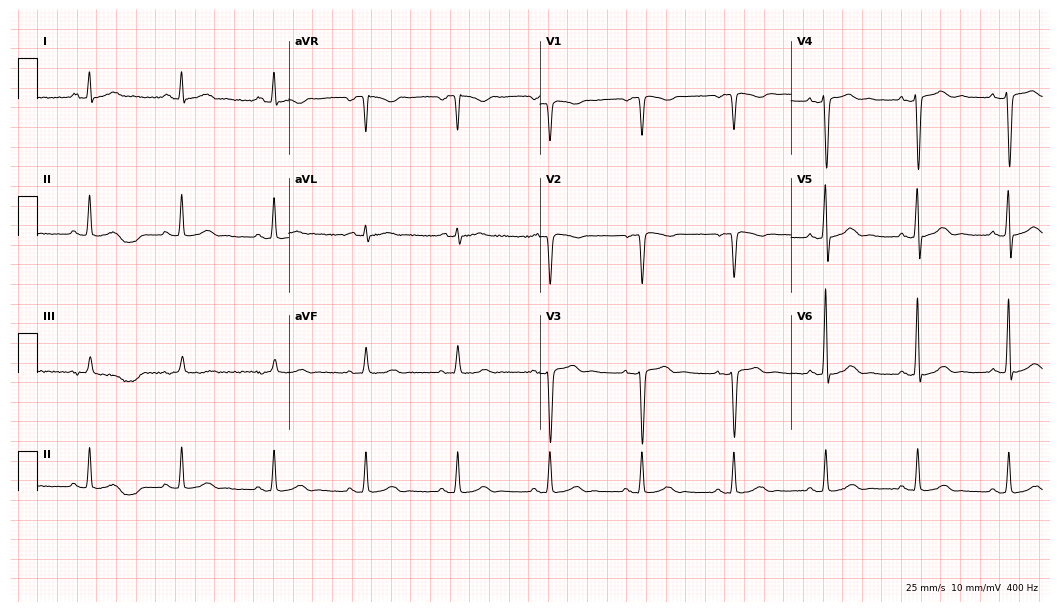
Standard 12-lead ECG recorded from a man, 58 years old. None of these six findings is recorded: first-degree AV block, right bundle branch block, left bundle branch block, sinus bradycardia, atrial fibrillation, sinus tachycardia. Findings outside these six are not listed.